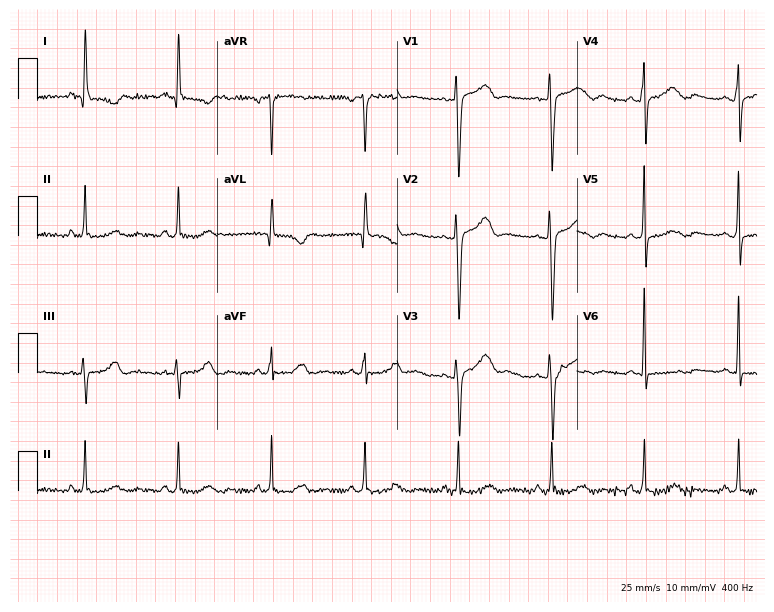
ECG (7.3-second recording at 400 Hz) — a woman, 65 years old. Screened for six findings — first-degree AV block, right bundle branch block (RBBB), left bundle branch block (LBBB), sinus bradycardia, atrial fibrillation (AF), sinus tachycardia — none is recorded. Findings outside these six are not listed.